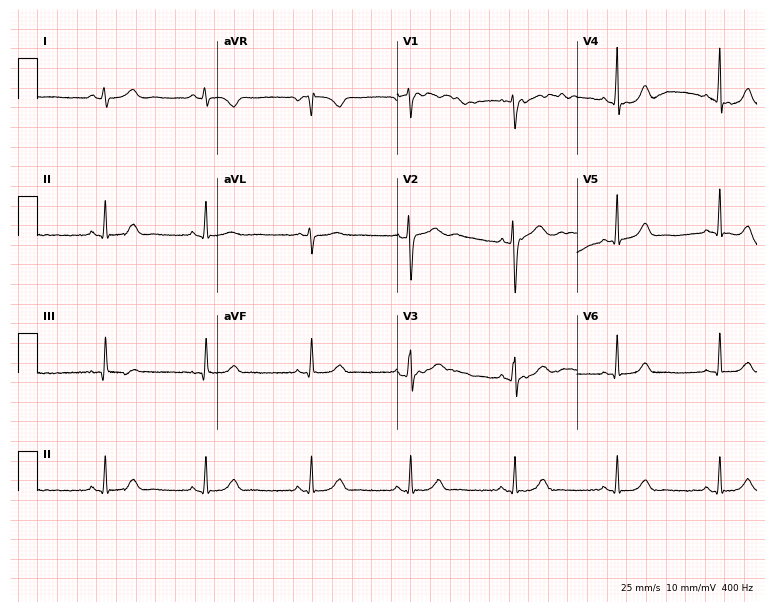
12-lead ECG from a female patient, 21 years old. Screened for six findings — first-degree AV block, right bundle branch block, left bundle branch block, sinus bradycardia, atrial fibrillation, sinus tachycardia — none is recorded.